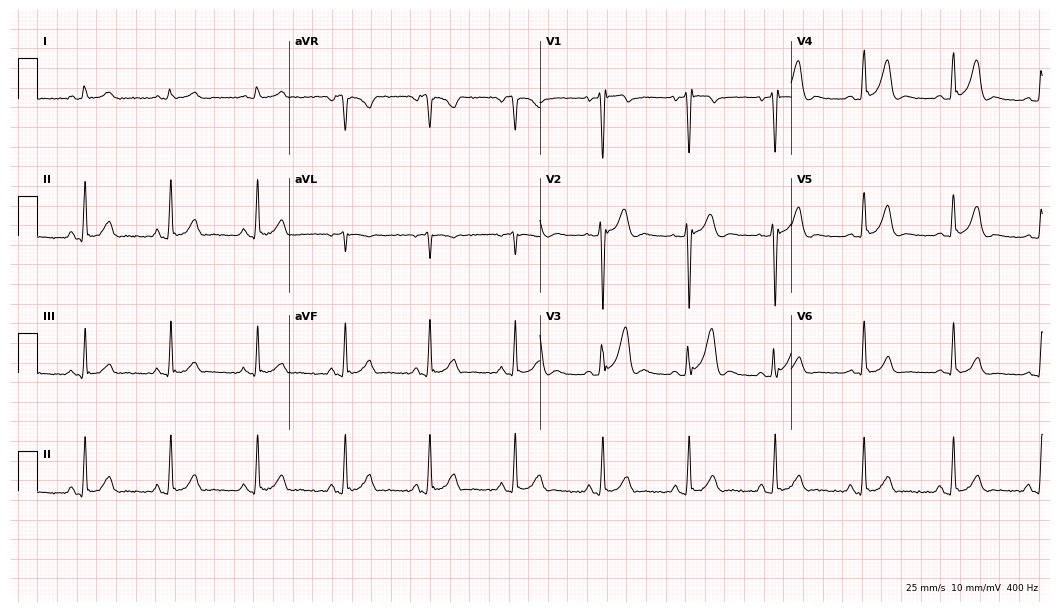
Resting 12-lead electrocardiogram. Patient: a 25-year-old male. None of these six findings is recorded: first-degree AV block, right bundle branch block, left bundle branch block, sinus bradycardia, atrial fibrillation, sinus tachycardia.